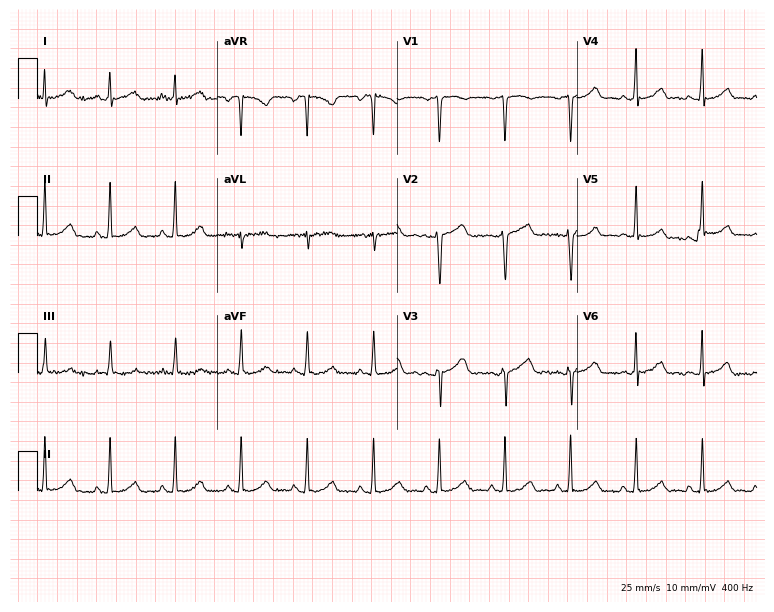
ECG — a female patient, 32 years old. Labelled as a normal ECG.